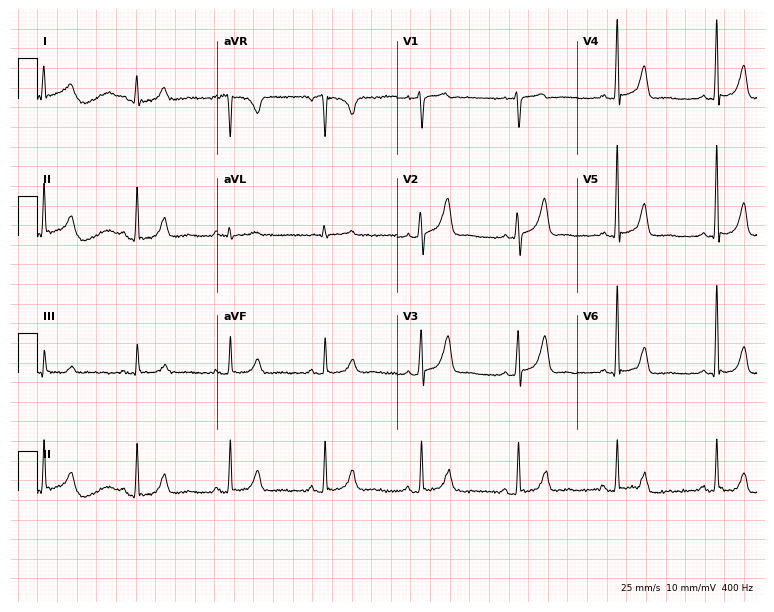
Standard 12-lead ECG recorded from a 61-year-old female patient (7.3-second recording at 400 Hz). None of these six findings is recorded: first-degree AV block, right bundle branch block (RBBB), left bundle branch block (LBBB), sinus bradycardia, atrial fibrillation (AF), sinus tachycardia.